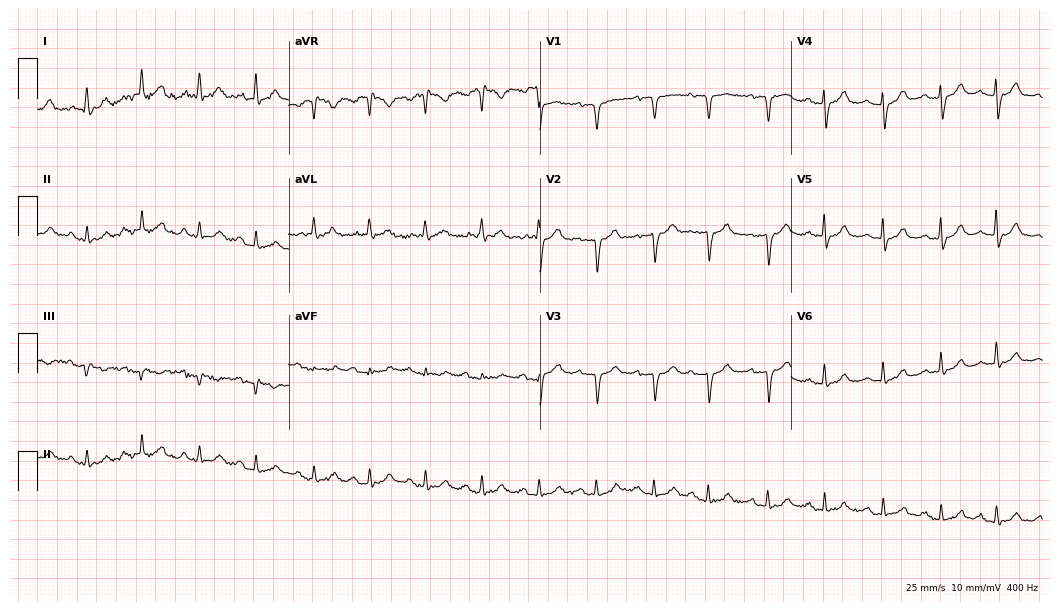
Resting 12-lead electrocardiogram (10.2-second recording at 400 Hz). Patient: a 68-year-old woman. The tracing shows sinus tachycardia (a sinus rate of 100 beats per minute or more).